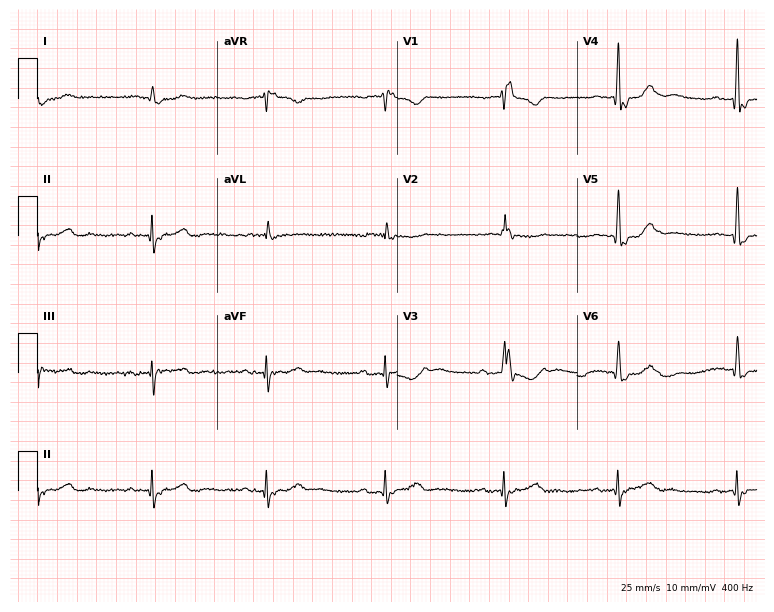
12-lead ECG from a male, 83 years old (7.3-second recording at 400 Hz). Shows first-degree AV block, right bundle branch block.